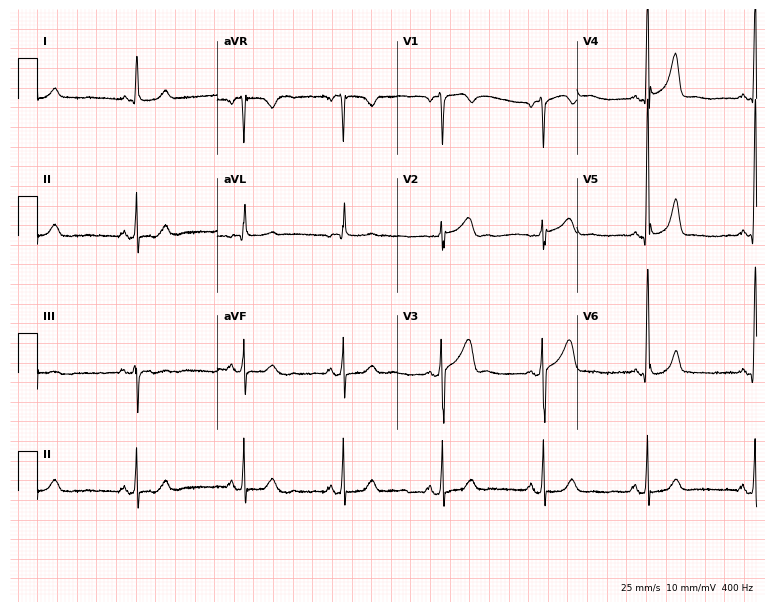
12-lead ECG from a male patient, 56 years old. Labelled as a normal ECG.